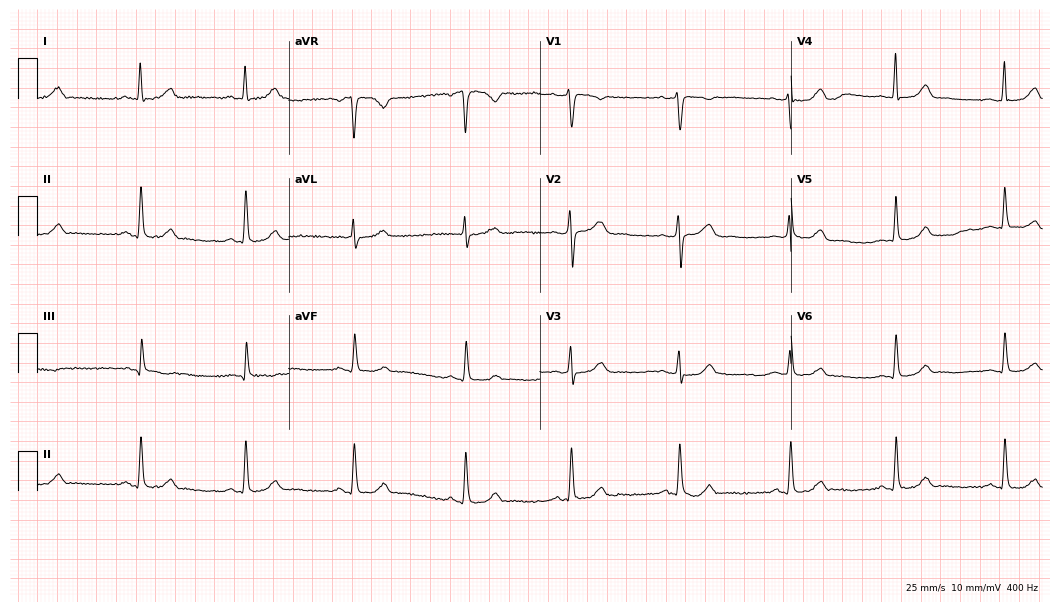
12-lead ECG from a female patient, 43 years old. Labelled as a normal ECG.